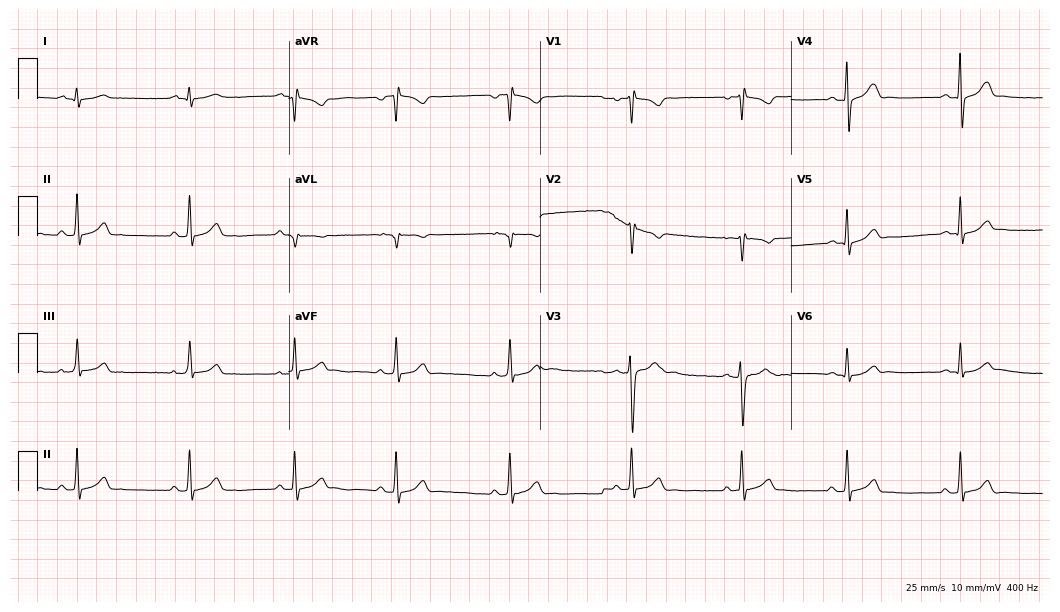
12-lead ECG from a man, 20 years old. Recorded interpretation: within normal limits.